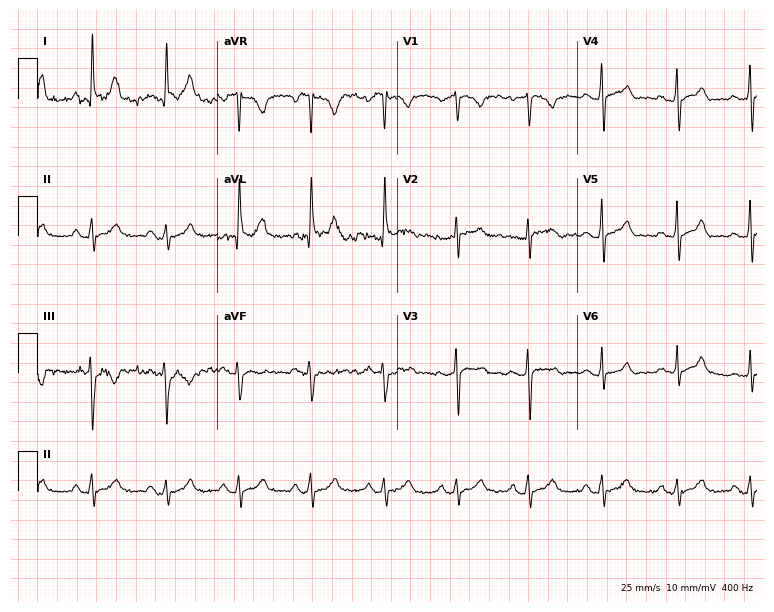
Resting 12-lead electrocardiogram. Patient: a 62-year-old female. None of these six findings is recorded: first-degree AV block, right bundle branch block, left bundle branch block, sinus bradycardia, atrial fibrillation, sinus tachycardia.